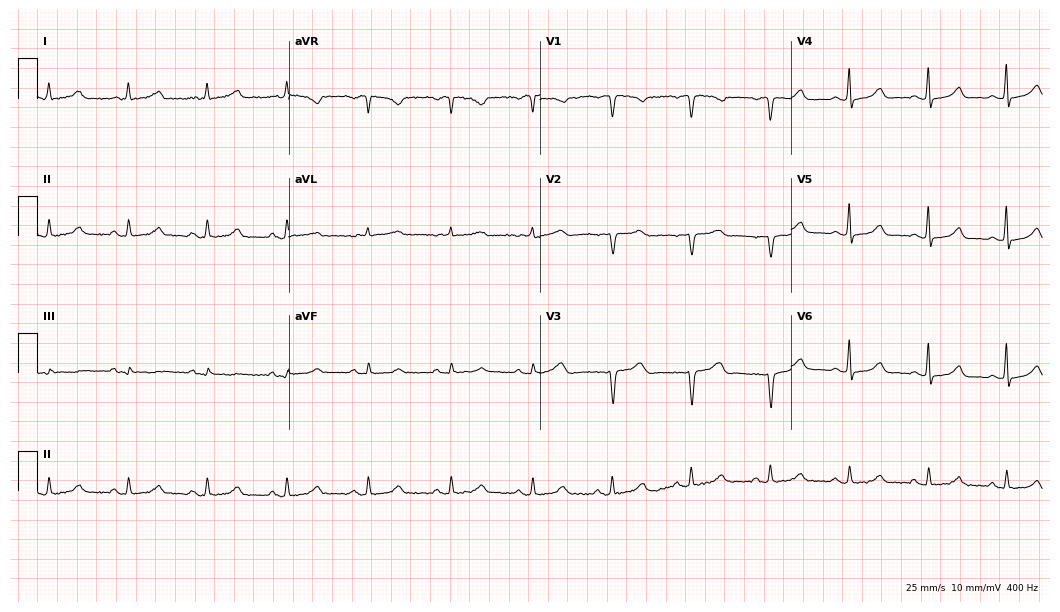
Resting 12-lead electrocardiogram. Patient: a 61-year-old woman. Read as a normal ECG.